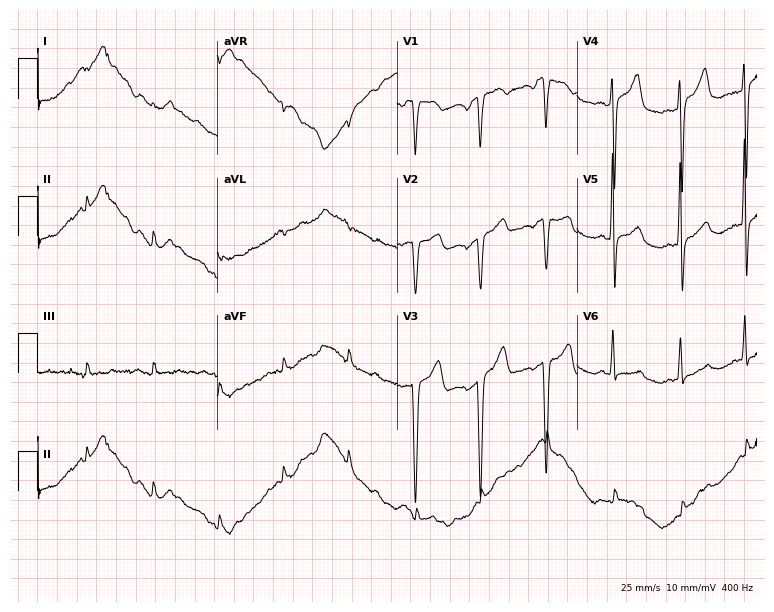
12-lead ECG from a female, 61 years old. Screened for six findings — first-degree AV block, right bundle branch block, left bundle branch block, sinus bradycardia, atrial fibrillation, sinus tachycardia — none is recorded. Other findings, if any, are not listed.